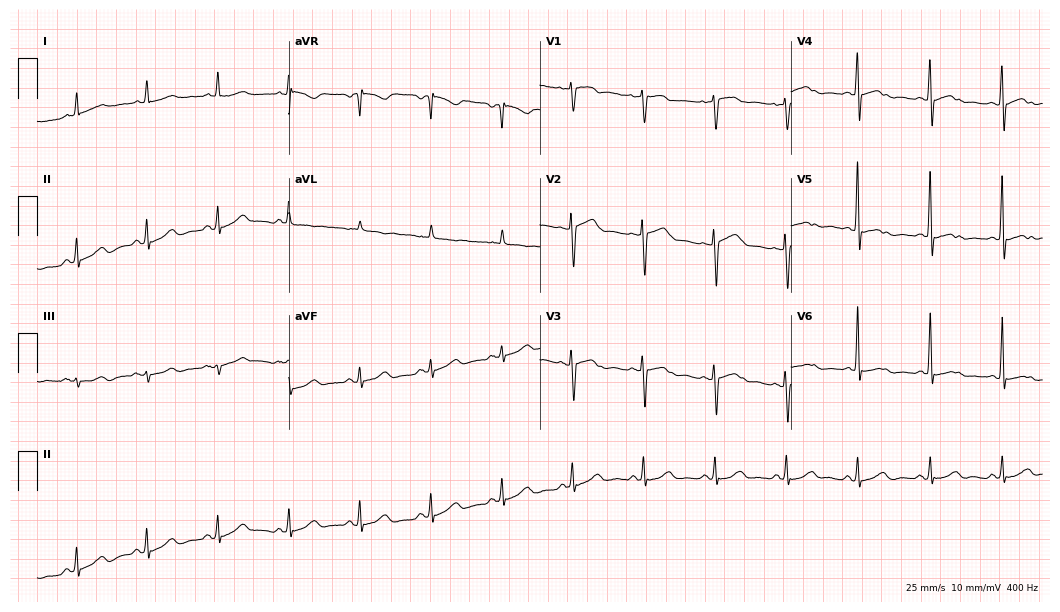
12-lead ECG from an 81-year-old woman (10.2-second recording at 400 Hz). Recorded interpretation: within normal limits.